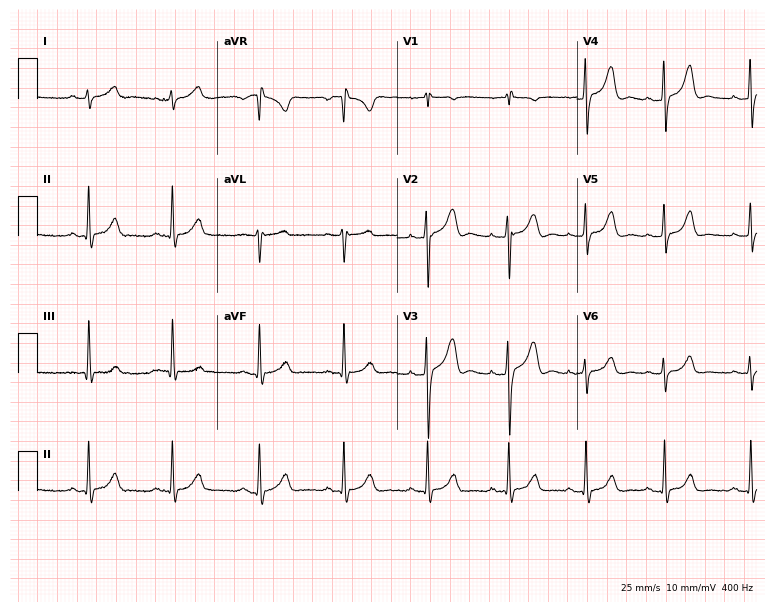
Resting 12-lead electrocardiogram (7.3-second recording at 400 Hz). Patient: a female, 21 years old. Read as a normal ECG.